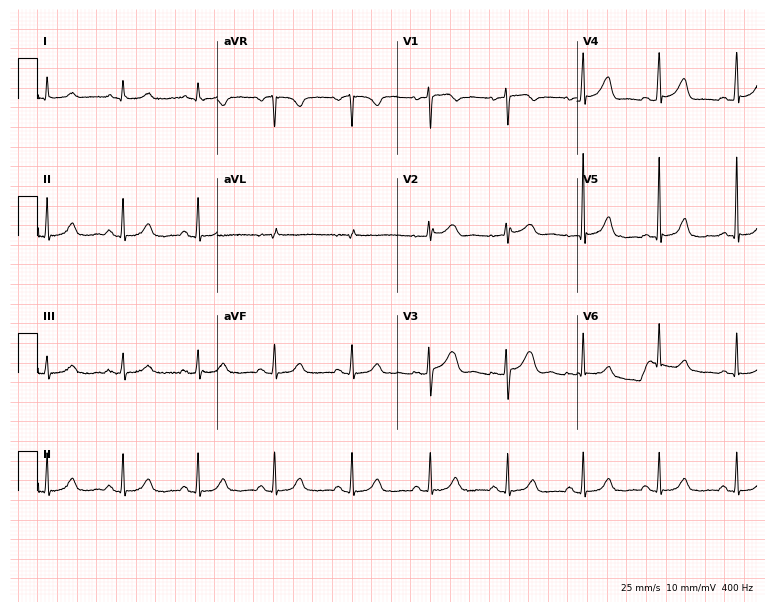
Electrocardiogram (7.3-second recording at 400 Hz), a female patient, 53 years old. Overall reading on record: normal ECG.